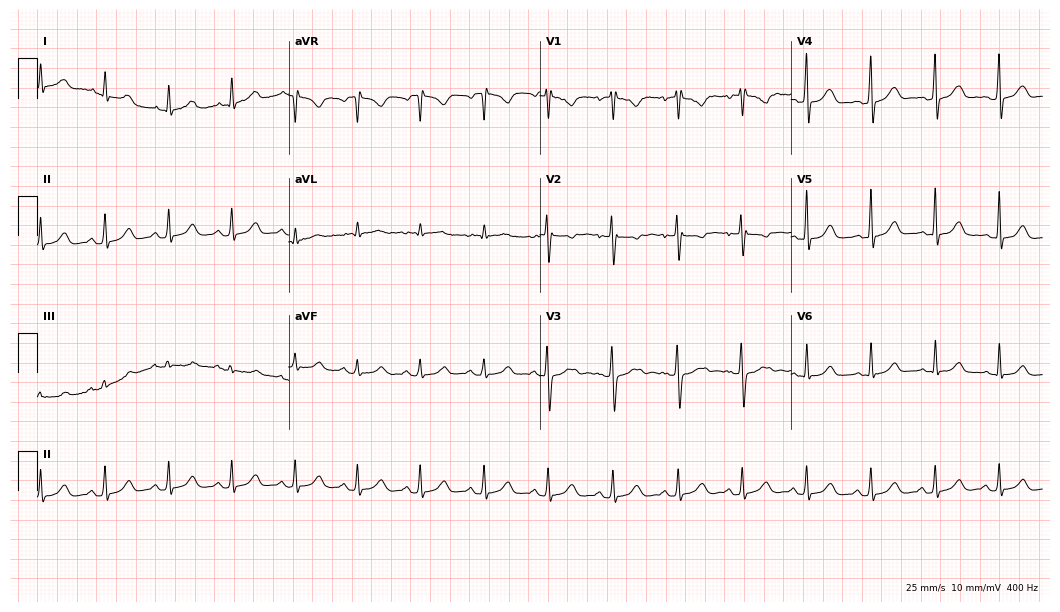
12-lead ECG from a female, 34 years old. Recorded interpretation: within normal limits.